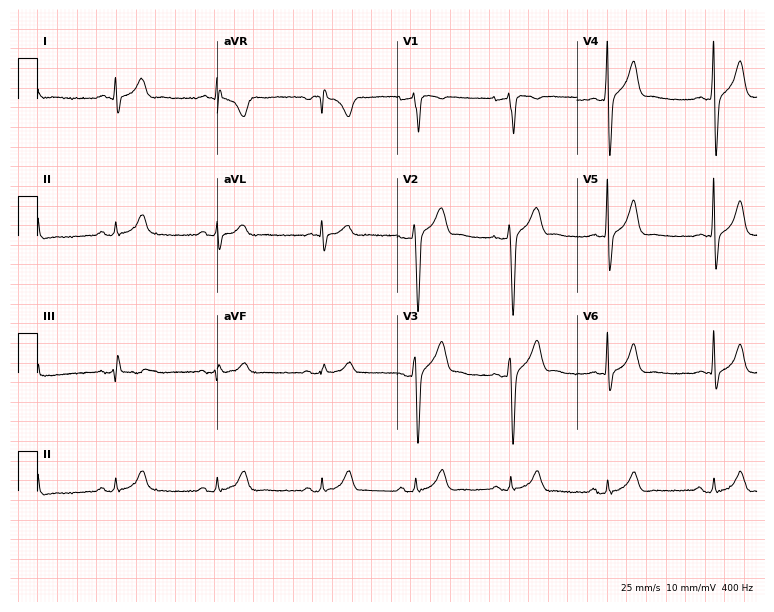
12-lead ECG from a 25-year-old male. Screened for six findings — first-degree AV block, right bundle branch block, left bundle branch block, sinus bradycardia, atrial fibrillation, sinus tachycardia — none is recorded.